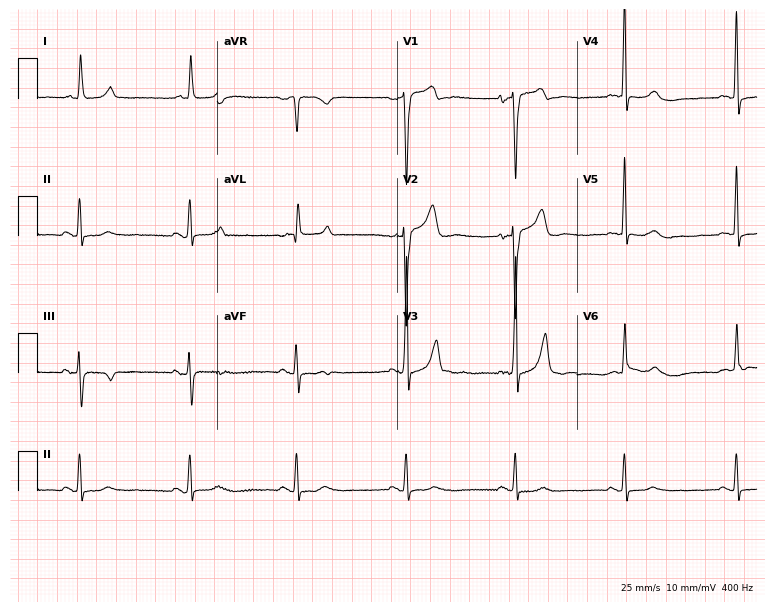
12-lead ECG from a female, 78 years old (7.3-second recording at 400 Hz). Recorded interpretation: within normal limits.